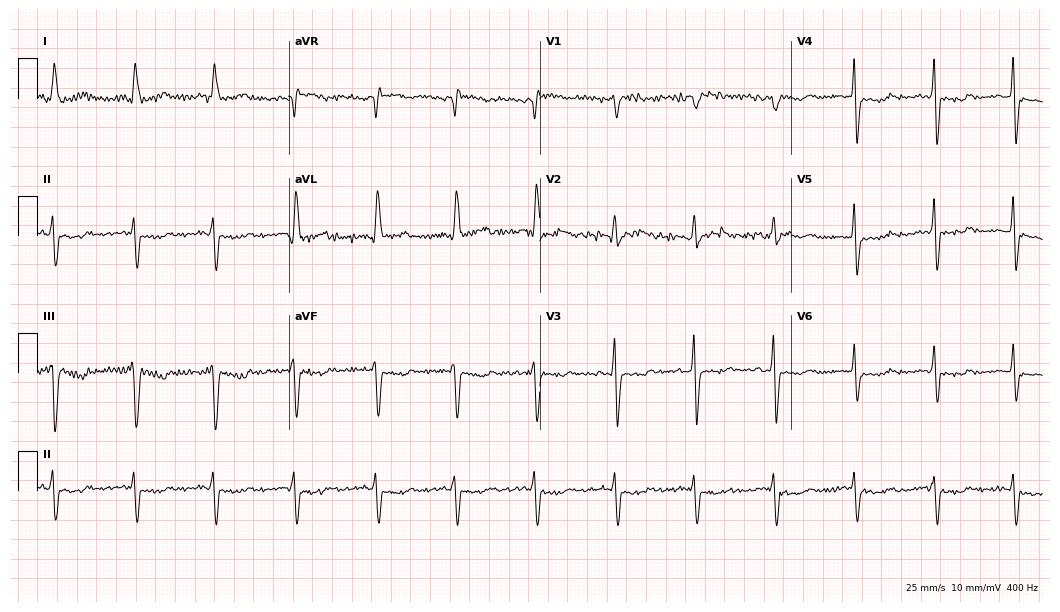
Standard 12-lead ECG recorded from a female, 52 years old (10.2-second recording at 400 Hz). None of these six findings is recorded: first-degree AV block, right bundle branch block, left bundle branch block, sinus bradycardia, atrial fibrillation, sinus tachycardia.